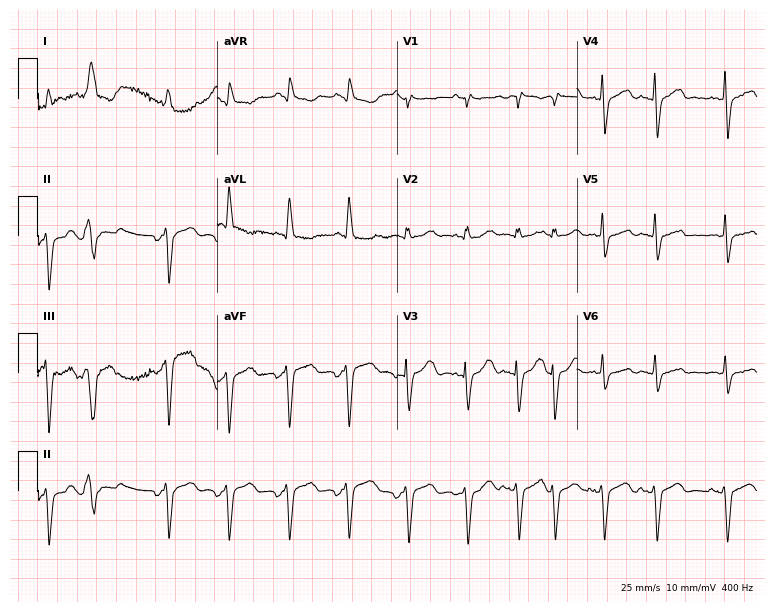
12-lead ECG from a male, 84 years old. Screened for six findings — first-degree AV block, right bundle branch block, left bundle branch block, sinus bradycardia, atrial fibrillation, sinus tachycardia — none is recorded. Findings outside these six are not listed.